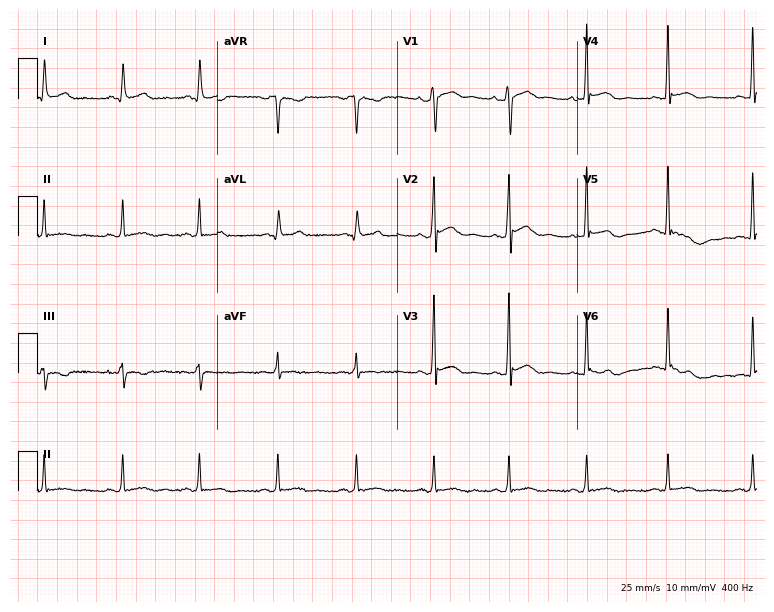
Electrocardiogram, a man, 44 years old. Of the six screened findings (first-degree AV block, right bundle branch block, left bundle branch block, sinus bradycardia, atrial fibrillation, sinus tachycardia), none is recorded.